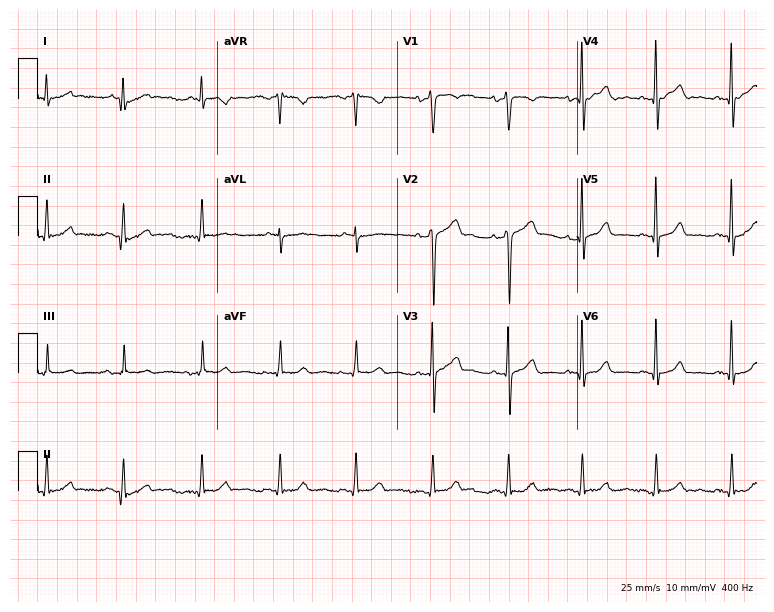
12-lead ECG from a male, 44 years old. Screened for six findings — first-degree AV block, right bundle branch block, left bundle branch block, sinus bradycardia, atrial fibrillation, sinus tachycardia — none is recorded.